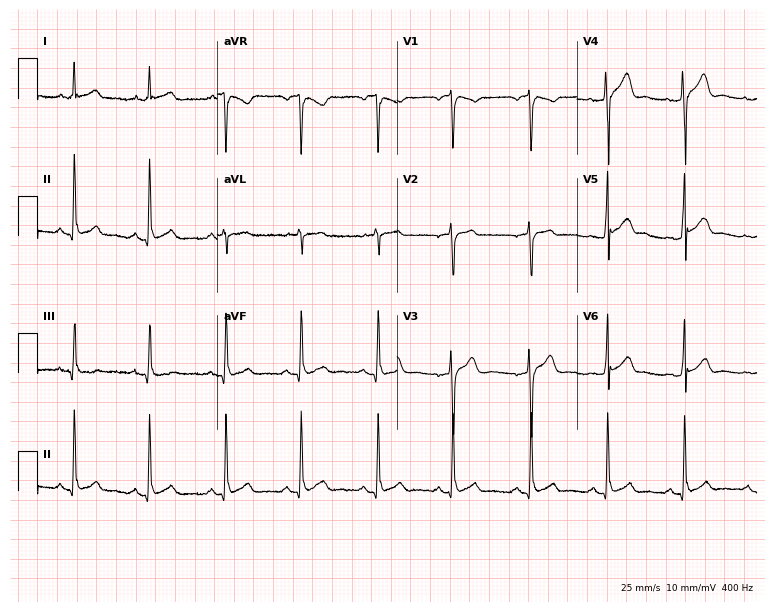
ECG — a male patient, 34 years old. Labelled as a normal ECG.